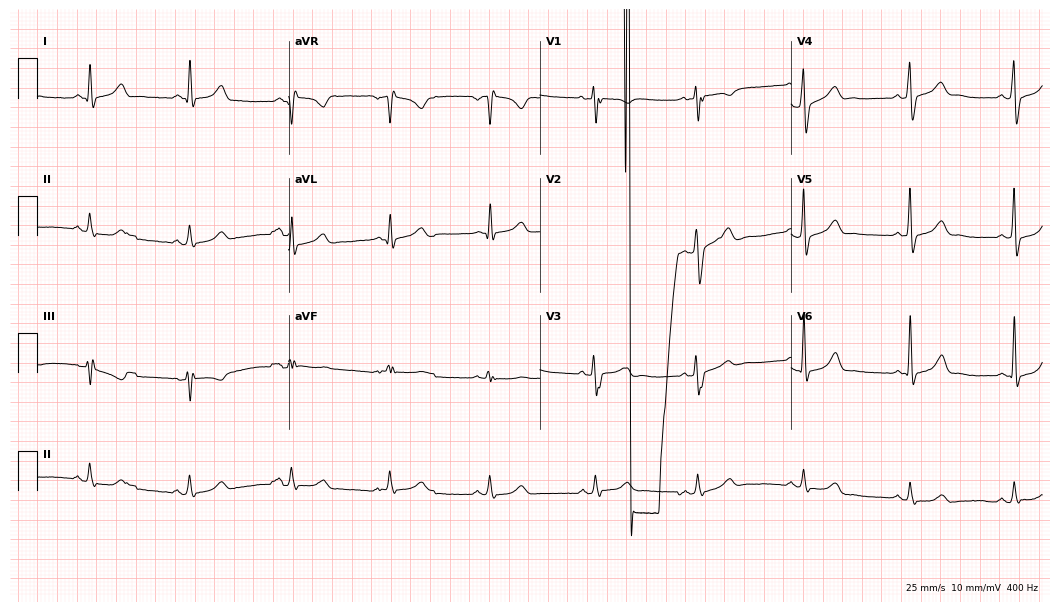
12-lead ECG from a man, 45 years old. No first-degree AV block, right bundle branch block, left bundle branch block, sinus bradycardia, atrial fibrillation or sinus tachycardia recorded for this tracing. Findings outside these six are not listed.